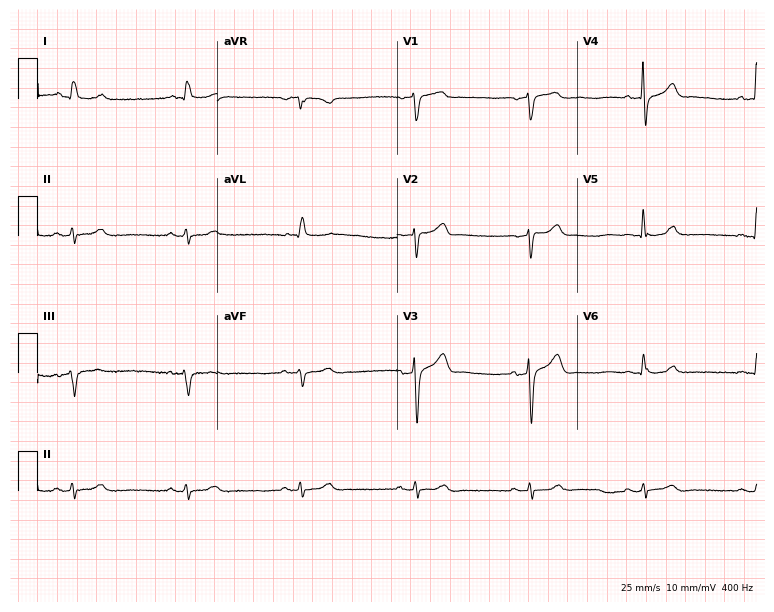
Resting 12-lead electrocardiogram (7.3-second recording at 400 Hz). Patient: a male, 85 years old. Read as a normal ECG.